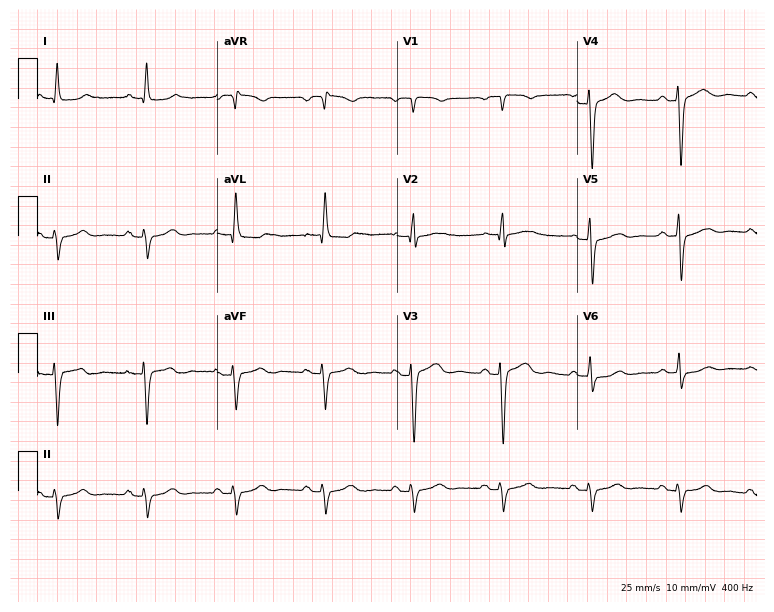
Standard 12-lead ECG recorded from a 78-year-old male (7.3-second recording at 400 Hz). None of these six findings is recorded: first-degree AV block, right bundle branch block, left bundle branch block, sinus bradycardia, atrial fibrillation, sinus tachycardia.